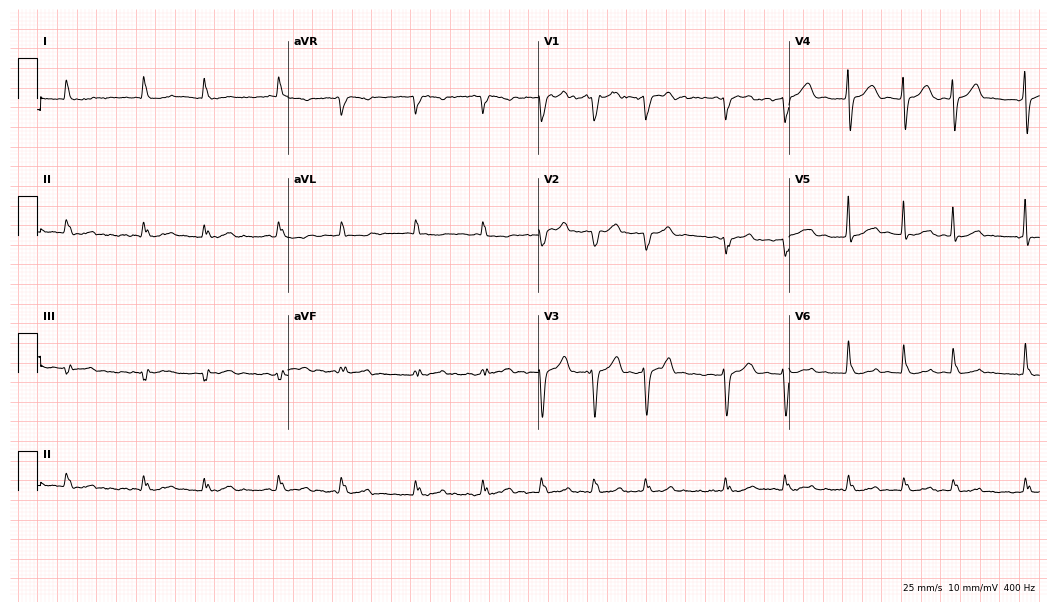
12-lead ECG from a 76-year-old female patient. Findings include atrial fibrillation.